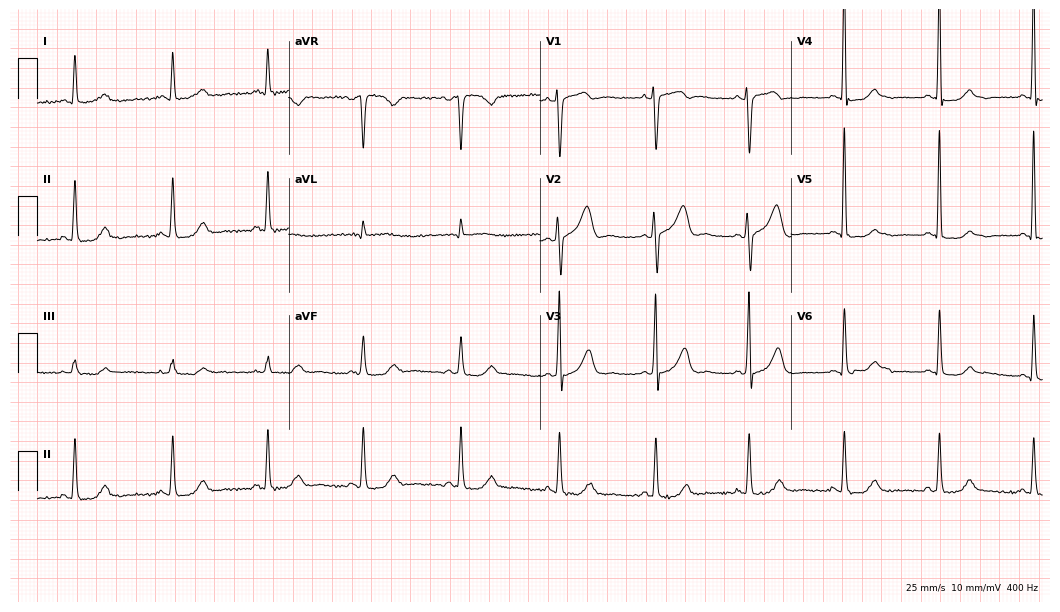
Electrocardiogram (10.2-second recording at 400 Hz), a 37-year-old female patient. Overall reading on record: normal ECG.